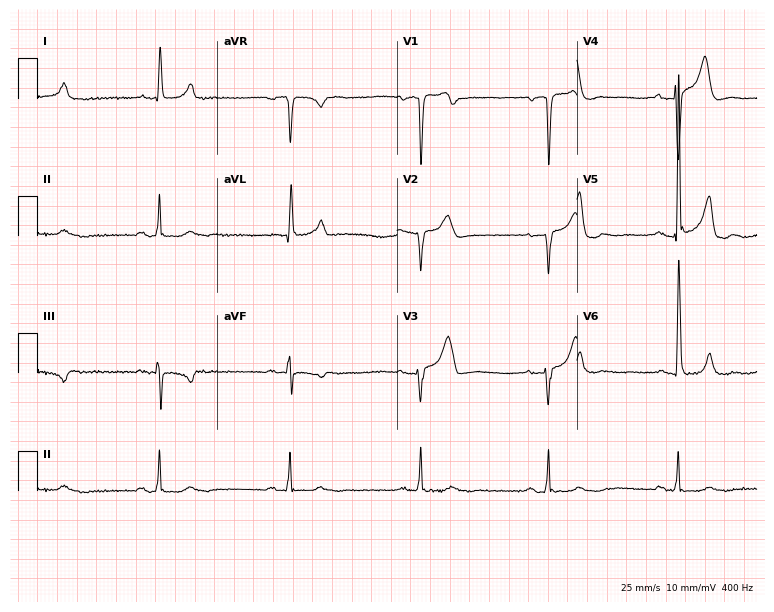
ECG — a man, 73 years old. Findings include sinus bradycardia (a sinus rate of 50 beats per minute or less).